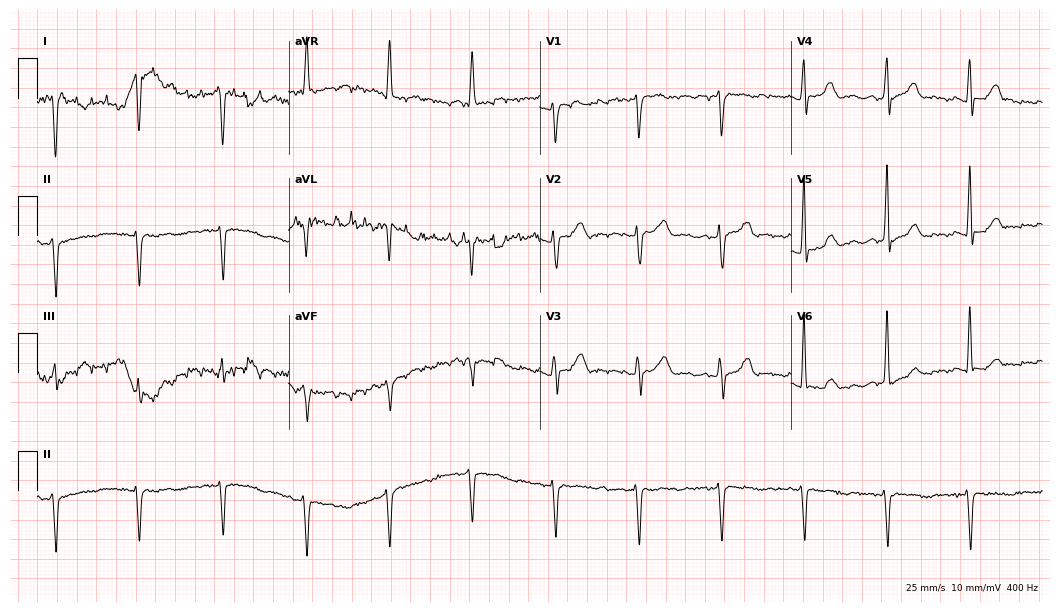
Electrocardiogram, a man, 75 years old. Of the six screened findings (first-degree AV block, right bundle branch block, left bundle branch block, sinus bradycardia, atrial fibrillation, sinus tachycardia), none is recorded. Findings outside these six are not listed.